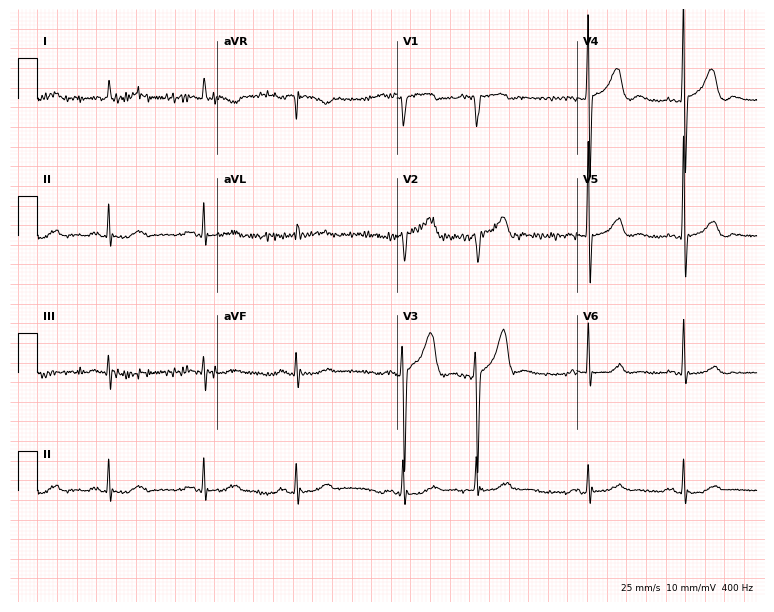
Electrocardiogram (7.3-second recording at 400 Hz), a woman, 80 years old. Of the six screened findings (first-degree AV block, right bundle branch block (RBBB), left bundle branch block (LBBB), sinus bradycardia, atrial fibrillation (AF), sinus tachycardia), none is recorded.